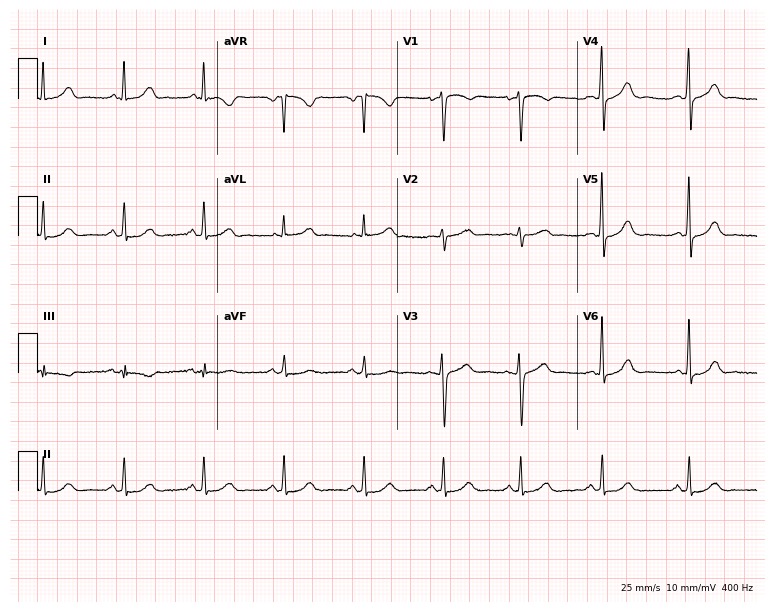
Standard 12-lead ECG recorded from a woman, 40 years old. Read as a normal ECG.